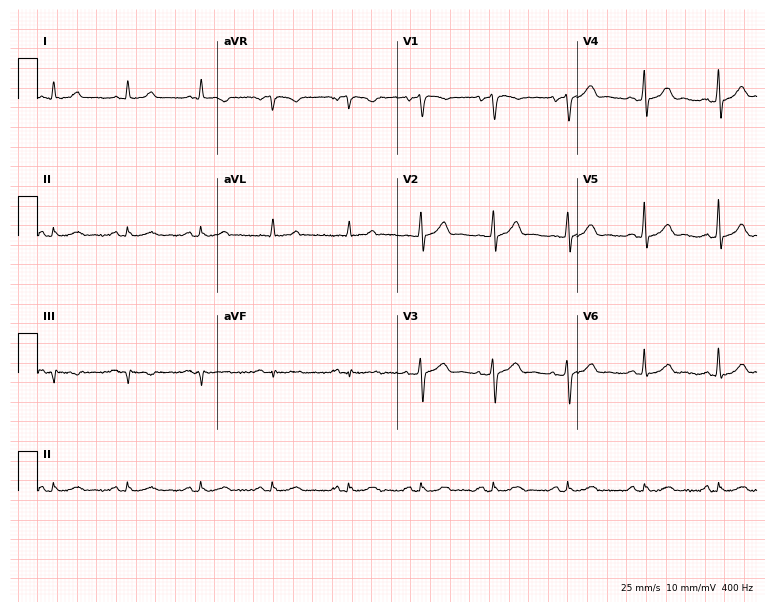
Electrocardiogram (7.3-second recording at 400 Hz), a man, 64 years old. Overall reading on record: normal ECG.